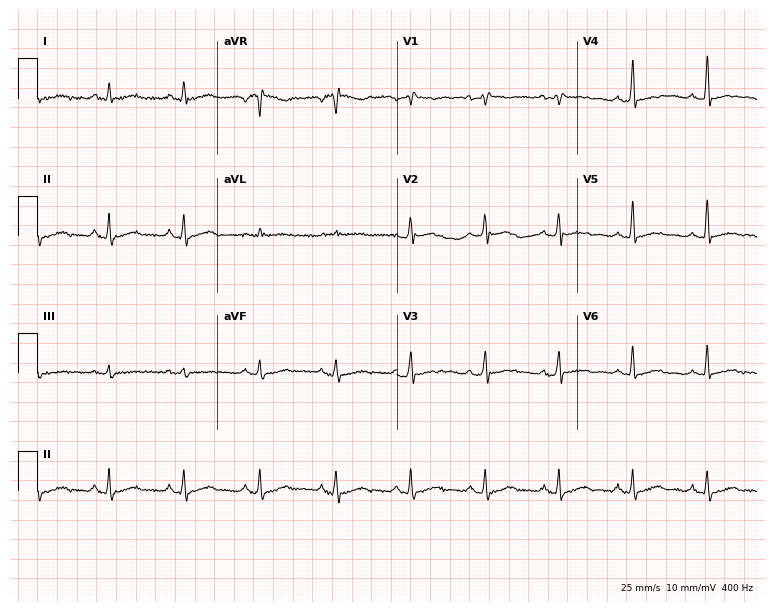
Resting 12-lead electrocardiogram (7.3-second recording at 400 Hz). Patient: a male, 49 years old. Read as a normal ECG.